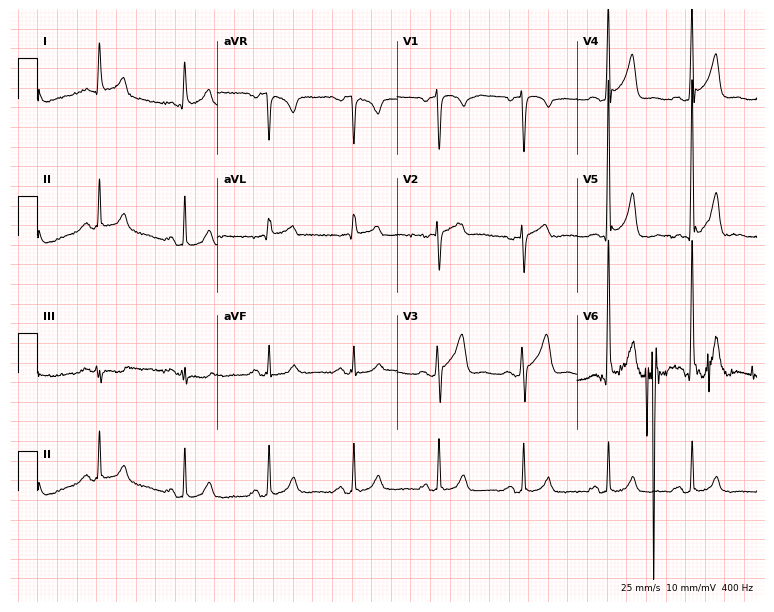
12-lead ECG from a male, 58 years old. No first-degree AV block, right bundle branch block, left bundle branch block, sinus bradycardia, atrial fibrillation or sinus tachycardia recorded for this tracing.